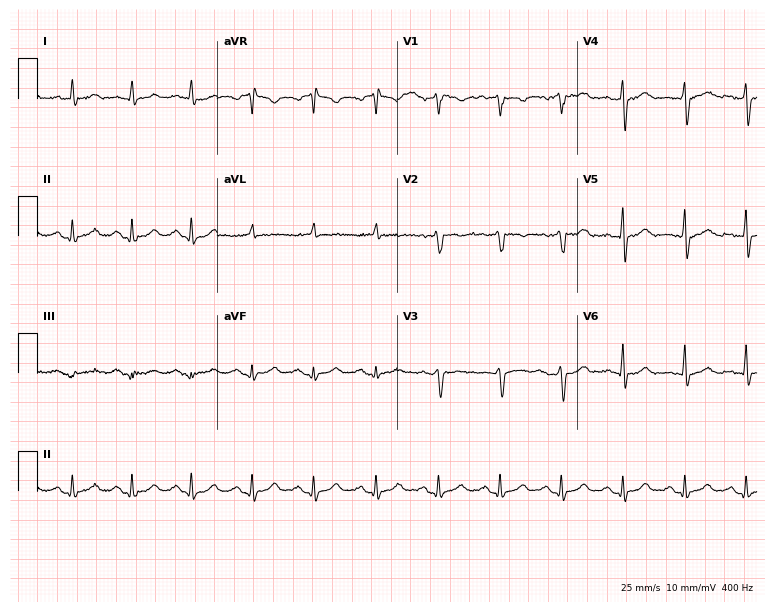
Electrocardiogram (7.3-second recording at 400 Hz), a 62-year-old male patient. Of the six screened findings (first-degree AV block, right bundle branch block, left bundle branch block, sinus bradycardia, atrial fibrillation, sinus tachycardia), none is recorded. Only these six findings were labelled.